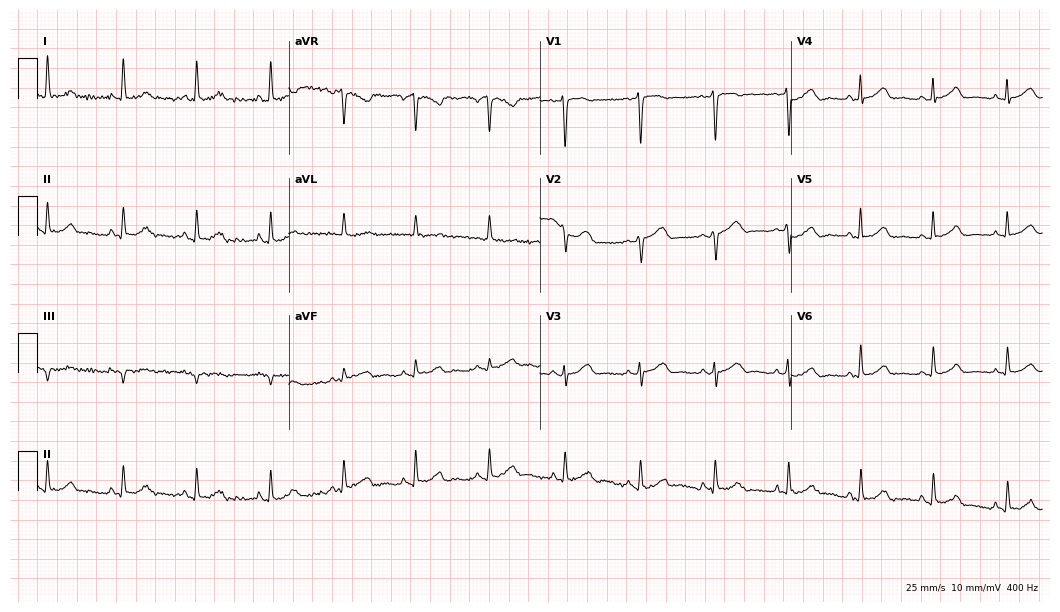
Electrocardiogram (10.2-second recording at 400 Hz), a 56-year-old female patient. Overall reading on record: normal ECG.